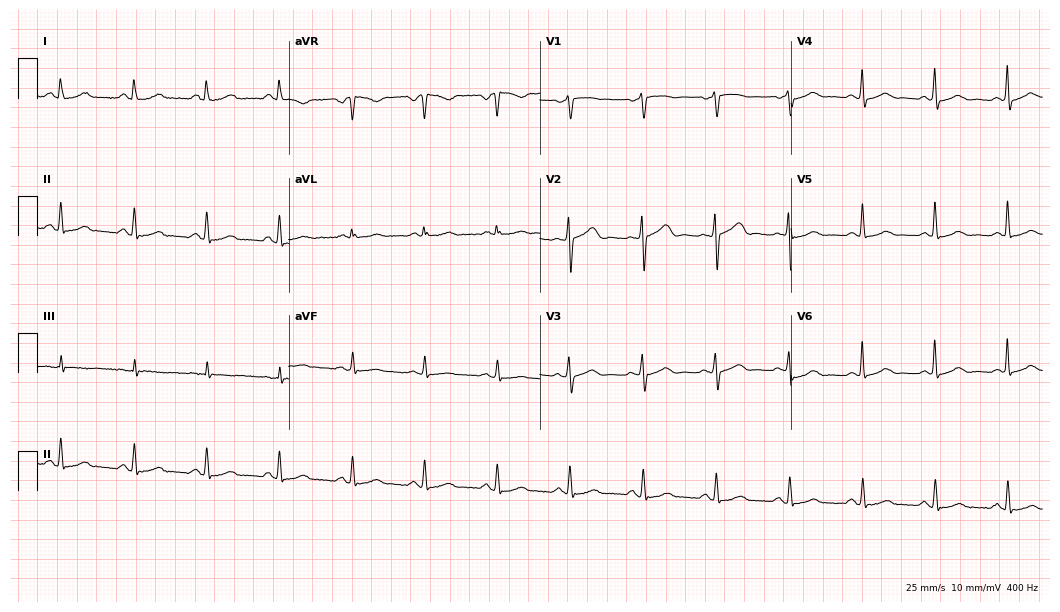
Standard 12-lead ECG recorded from a female, 63 years old. None of these six findings is recorded: first-degree AV block, right bundle branch block, left bundle branch block, sinus bradycardia, atrial fibrillation, sinus tachycardia.